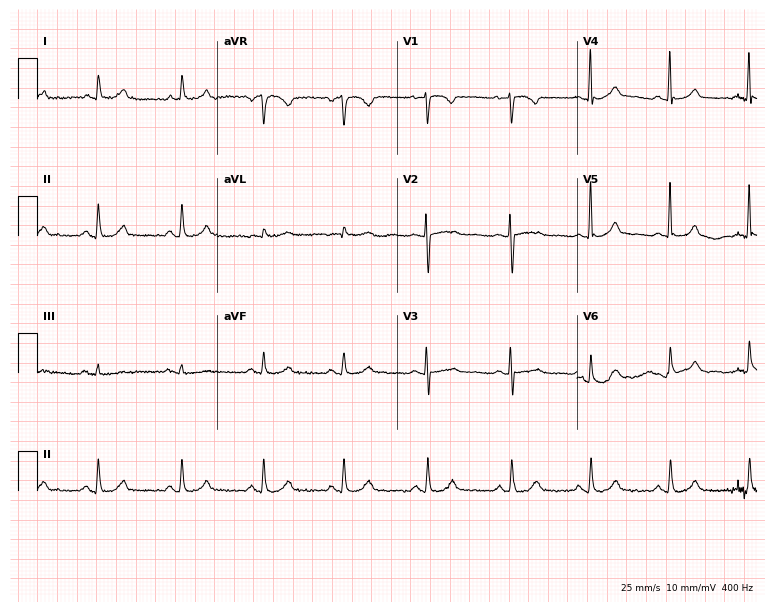
Standard 12-lead ECG recorded from a female, 74 years old. Read as a normal ECG.